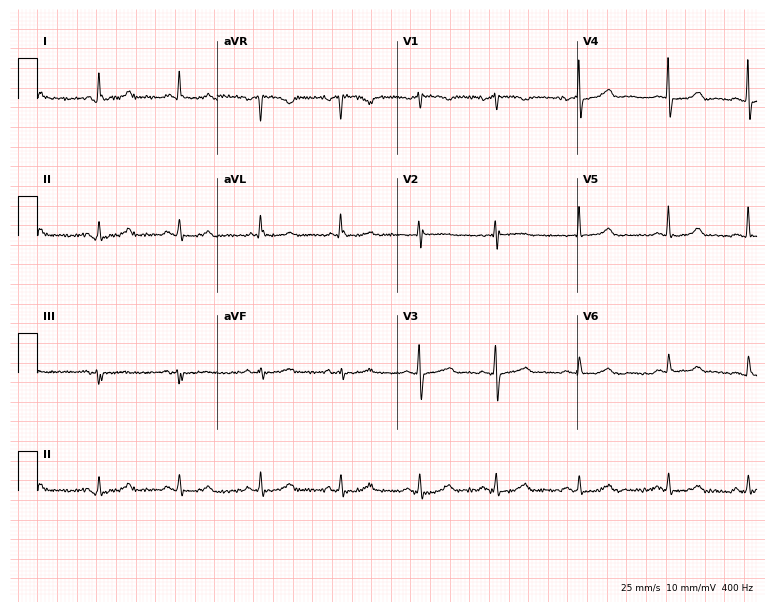
Standard 12-lead ECG recorded from a 59-year-old female (7.3-second recording at 400 Hz). None of these six findings is recorded: first-degree AV block, right bundle branch block, left bundle branch block, sinus bradycardia, atrial fibrillation, sinus tachycardia. Other findings, if any, are not listed.